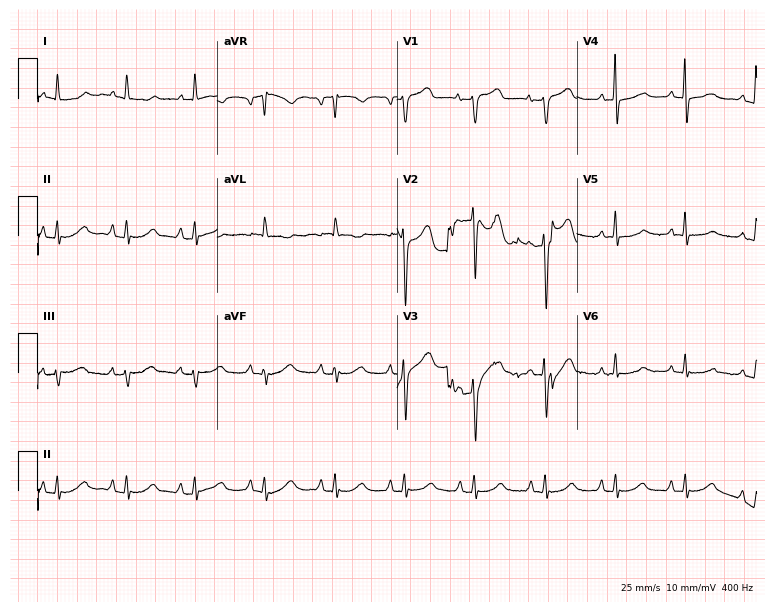
Resting 12-lead electrocardiogram (7.3-second recording at 400 Hz). Patient: a female, 73 years old. None of these six findings is recorded: first-degree AV block, right bundle branch block, left bundle branch block, sinus bradycardia, atrial fibrillation, sinus tachycardia. Findings outside these six are not listed.